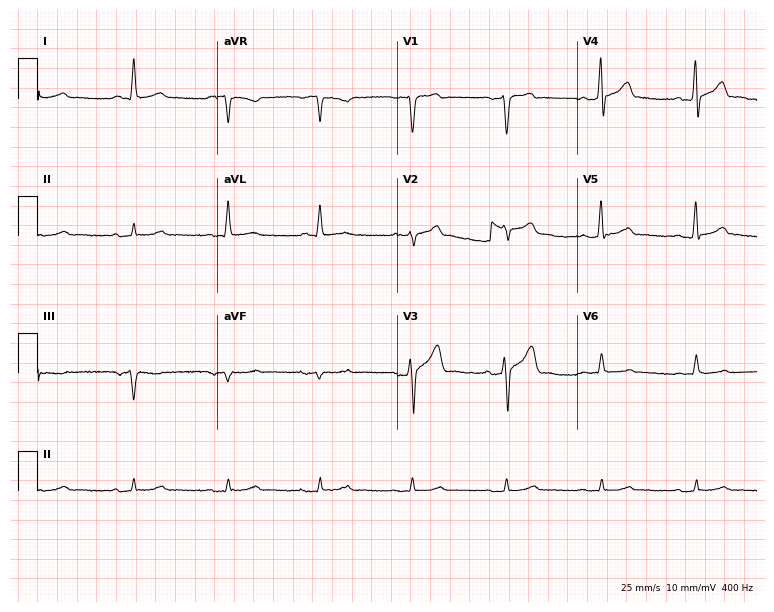
Resting 12-lead electrocardiogram (7.3-second recording at 400 Hz). Patient: a female, 57 years old. Read as a normal ECG.